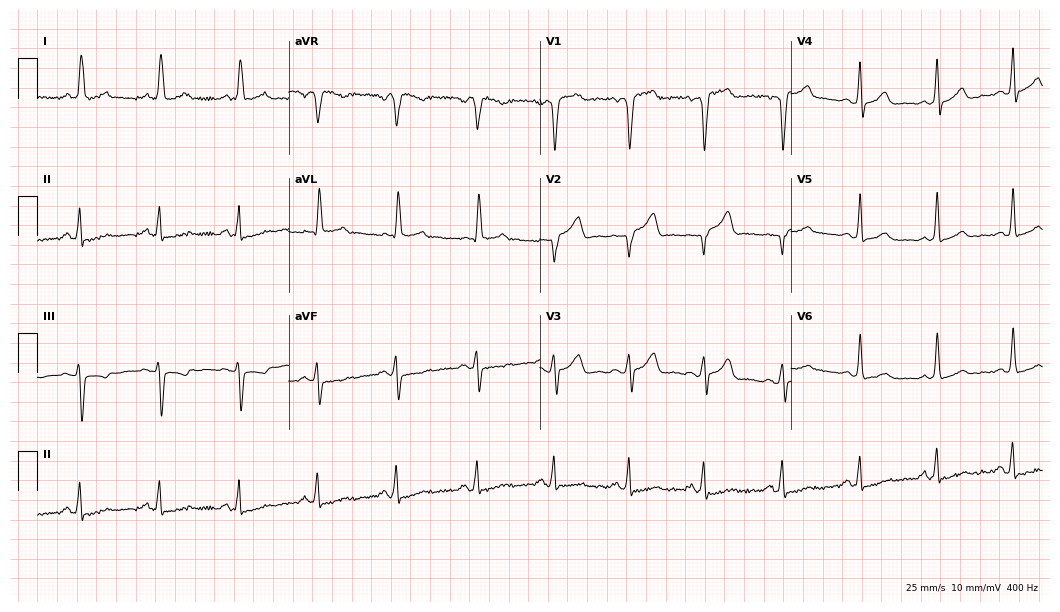
Resting 12-lead electrocardiogram. Patient: a 56-year-old man. None of these six findings is recorded: first-degree AV block, right bundle branch block, left bundle branch block, sinus bradycardia, atrial fibrillation, sinus tachycardia. Only these six findings were labelled.